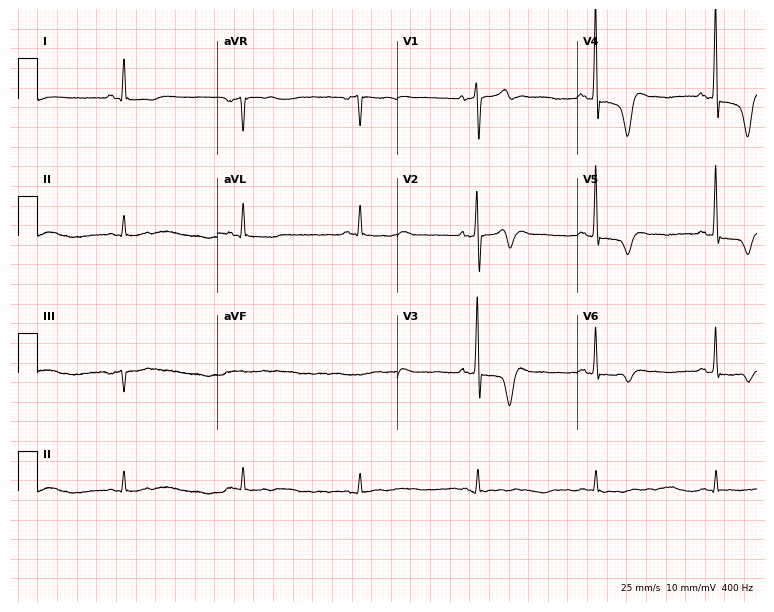
Electrocardiogram, a male, 35 years old. Of the six screened findings (first-degree AV block, right bundle branch block, left bundle branch block, sinus bradycardia, atrial fibrillation, sinus tachycardia), none is recorded.